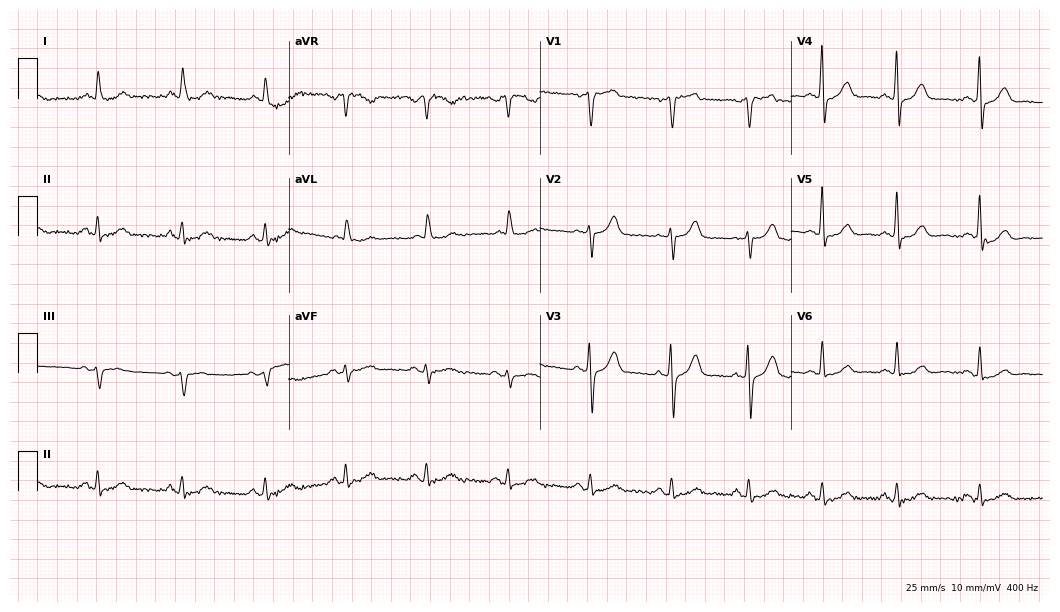
12-lead ECG from a 61-year-old male. No first-degree AV block, right bundle branch block, left bundle branch block, sinus bradycardia, atrial fibrillation or sinus tachycardia recorded for this tracing. Findings outside these six are not listed.